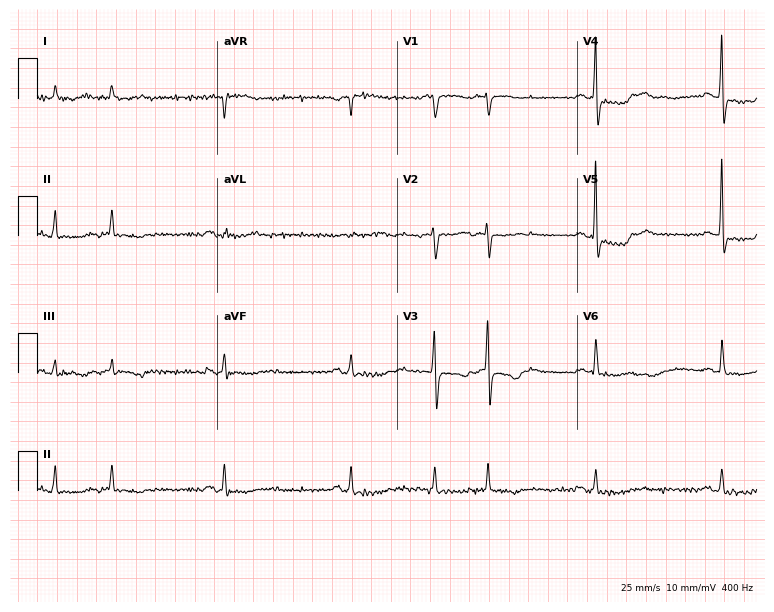
12-lead ECG from a female, 80 years old. Screened for six findings — first-degree AV block, right bundle branch block, left bundle branch block, sinus bradycardia, atrial fibrillation, sinus tachycardia — none is recorded. Only these six findings were labelled.